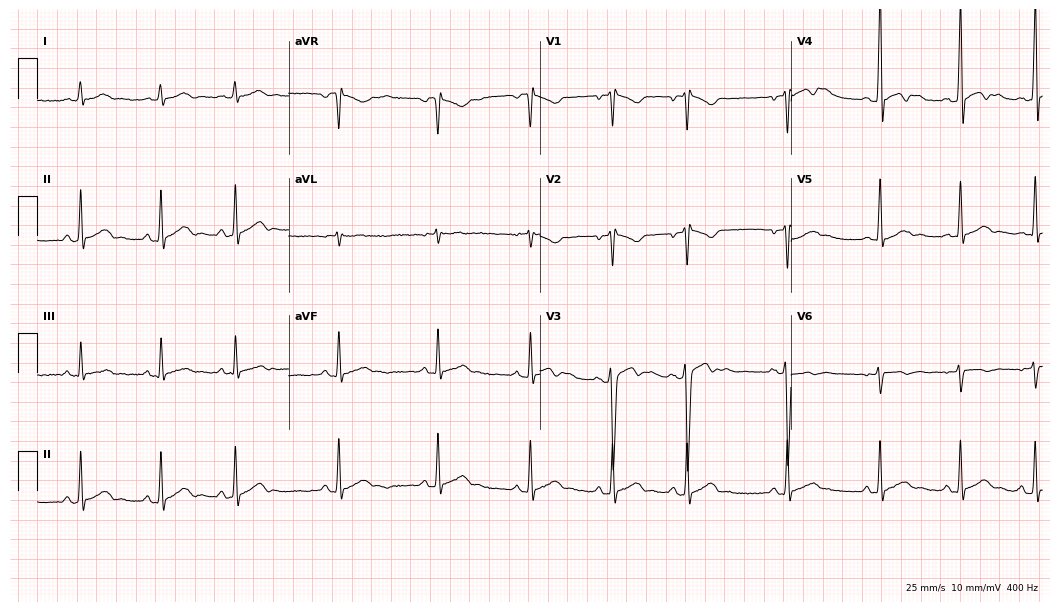
12-lead ECG from a 17-year-old man. Labelled as a normal ECG.